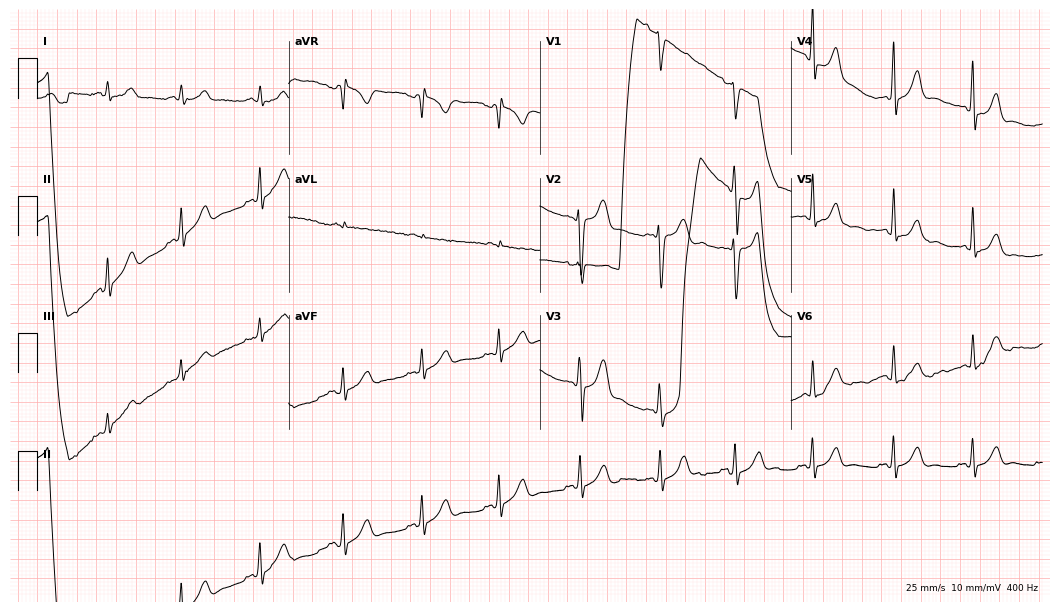
Standard 12-lead ECG recorded from a male patient, 19 years old. None of these six findings is recorded: first-degree AV block, right bundle branch block, left bundle branch block, sinus bradycardia, atrial fibrillation, sinus tachycardia.